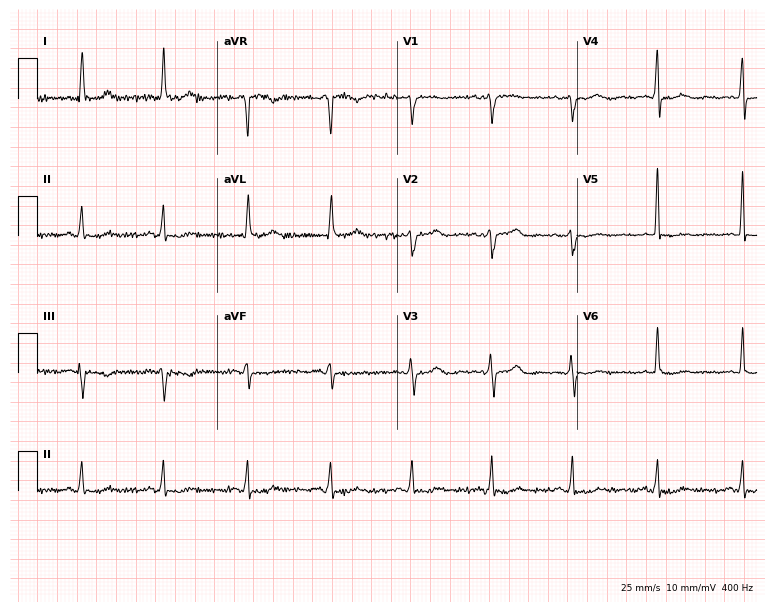
ECG (7.3-second recording at 400 Hz) — a female, 69 years old. Screened for six findings — first-degree AV block, right bundle branch block, left bundle branch block, sinus bradycardia, atrial fibrillation, sinus tachycardia — none is recorded. Only these six findings were labelled.